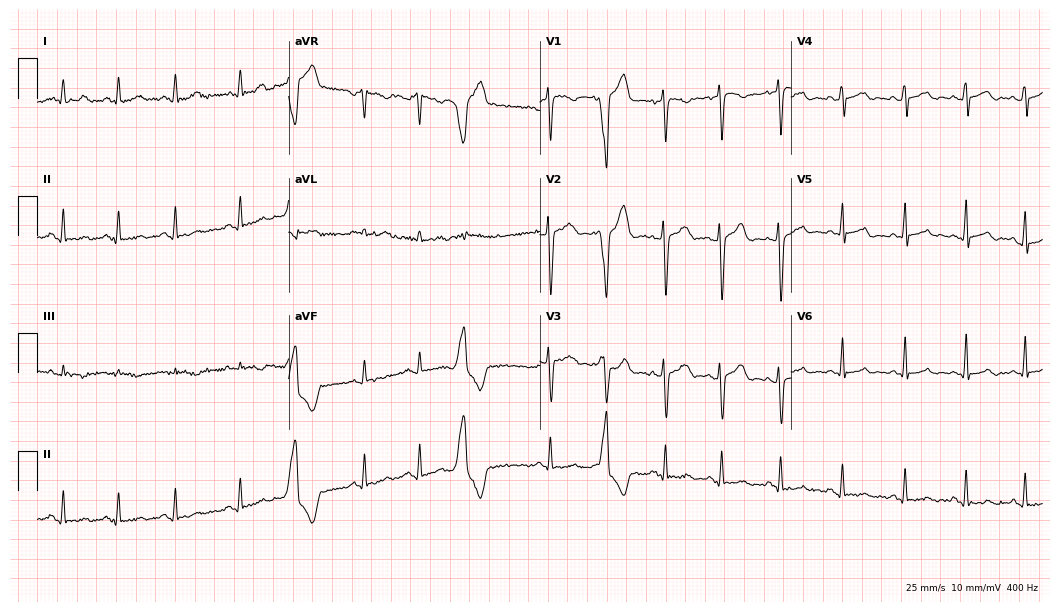
Electrocardiogram (10.2-second recording at 400 Hz), a man, 22 years old. Of the six screened findings (first-degree AV block, right bundle branch block (RBBB), left bundle branch block (LBBB), sinus bradycardia, atrial fibrillation (AF), sinus tachycardia), none is recorded. Findings outside these six are not listed.